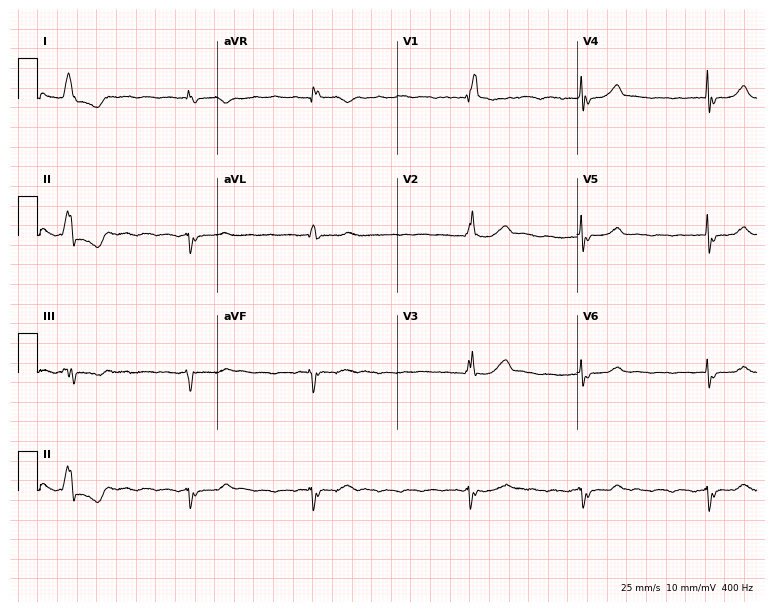
ECG (7.3-second recording at 400 Hz) — an 81-year-old woman. Findings include right bundle branch block, atrial fibrillation.